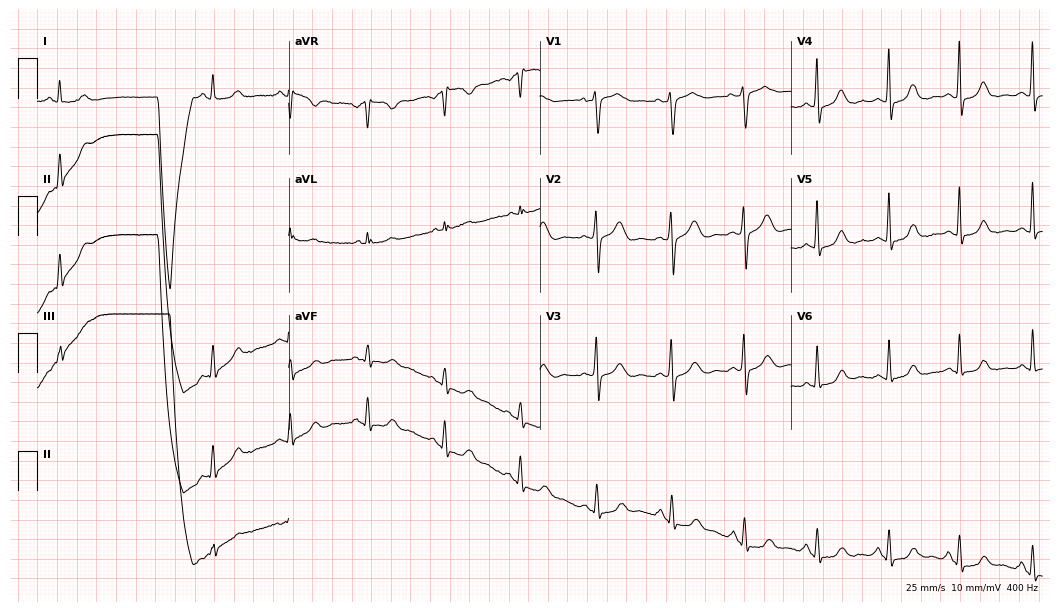
12-lead ECG from a 64-year-old female. No first-degree AV block, right bundle branch block, left bundle branch block, sinus bradycardia, atrial fibrillation or sinus tachycardia recorded for this tracing.